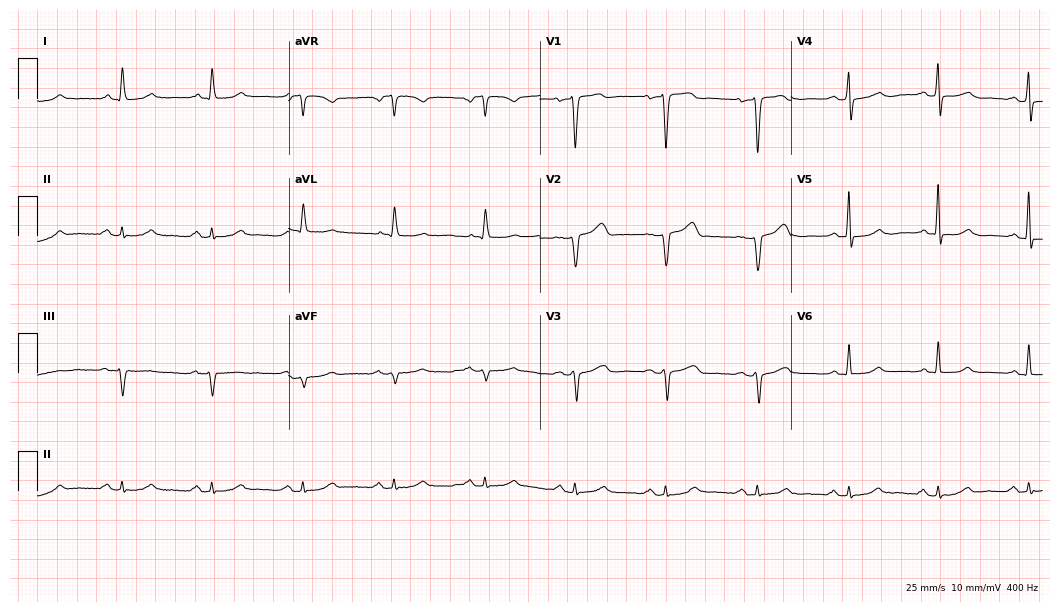
Resting 12-lead electrocardiogram. Patient: a female, 74 years old. None of these six findings is recorded: first-degree AV block, right bundle branch block, left bundle branch block, sinus bradycardia, atrial fibrillation, sinus tachycardia. Other findings, if any, are not listed.